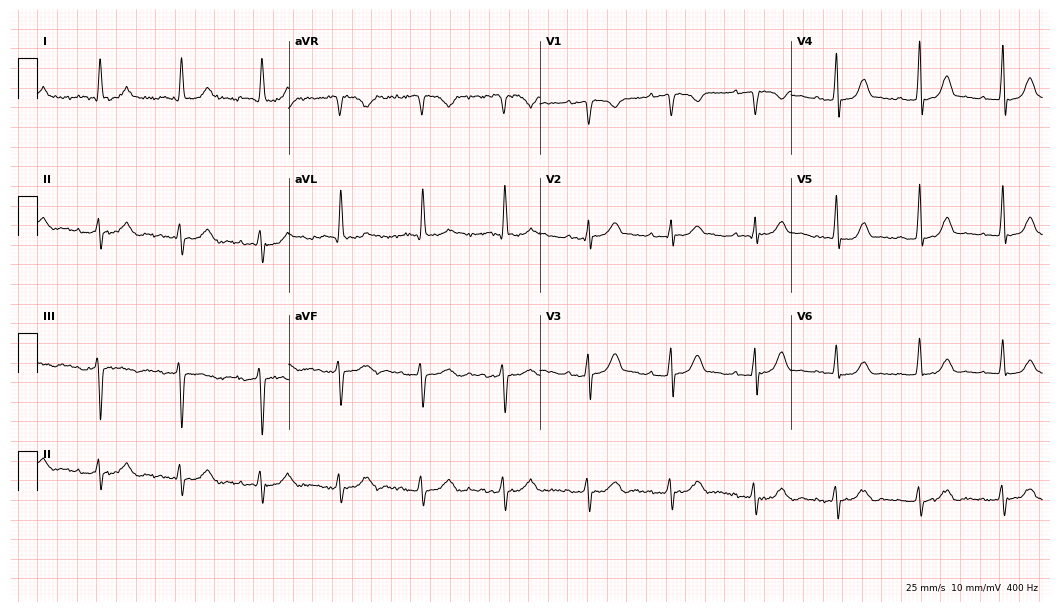
Electrocardiogram (10.2-second recording at 400 Hz), an 80-year-old male patient. Of the six screened findings (first-degree AV block, right bundle branch block, left bundle branch block, sinus bradycardia, atrial fibrillation, sinus tachycardia), none is recorded.